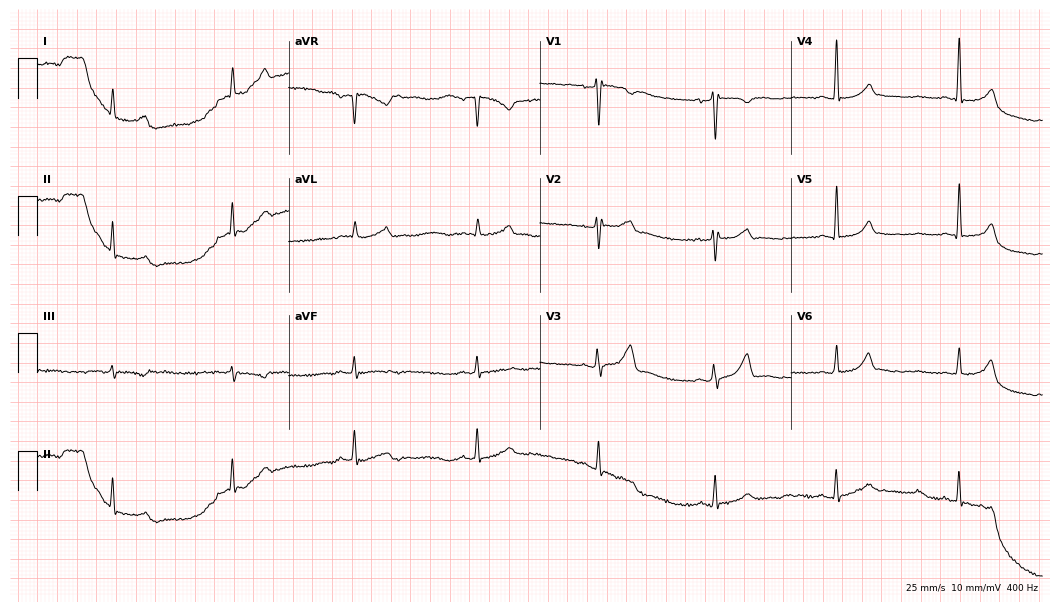
12-lead ECG from a female patient, 38 years old. Findings include sinus bradycardia (a sinus rate of 50 beats per minute or less).